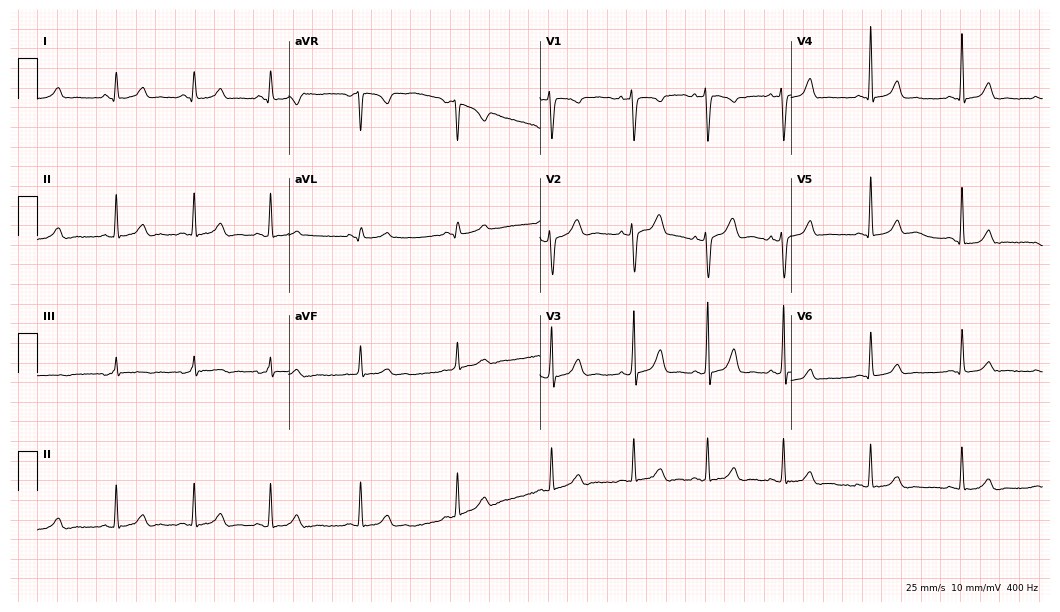
12-lead ECG from a female, 30 years old. Labelled as a normal ECG.